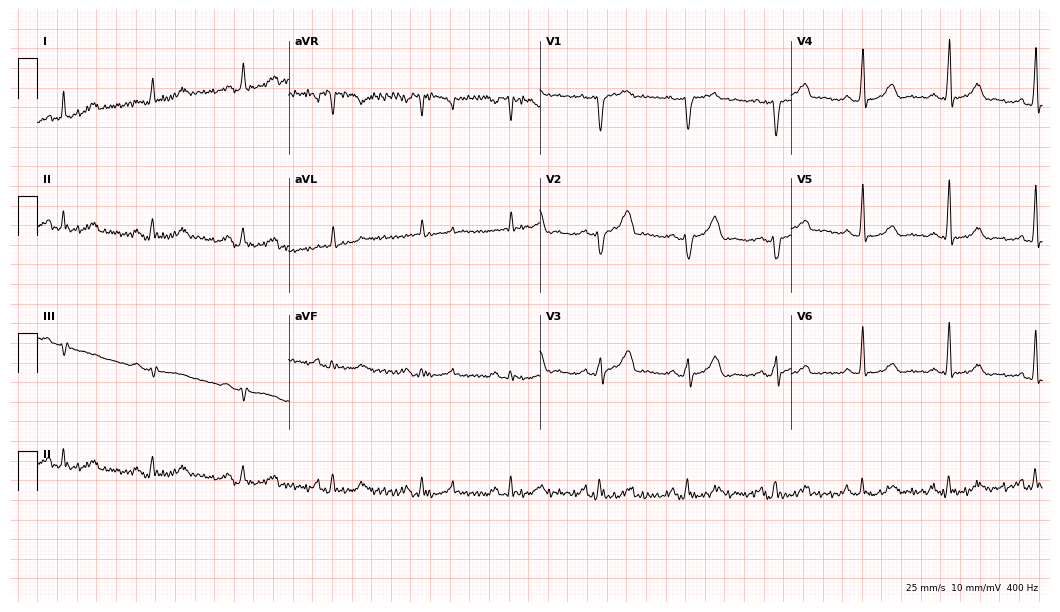
Electrocardiogram (10.2-second recording at 400 Hz), a 62-year-old woman. Of the six screened findings (first-degree AV block, right bundle branch block, left bundle branch block, sinus bradycardia, atrial fibrillation, sinus tachycardia), none is recorded.